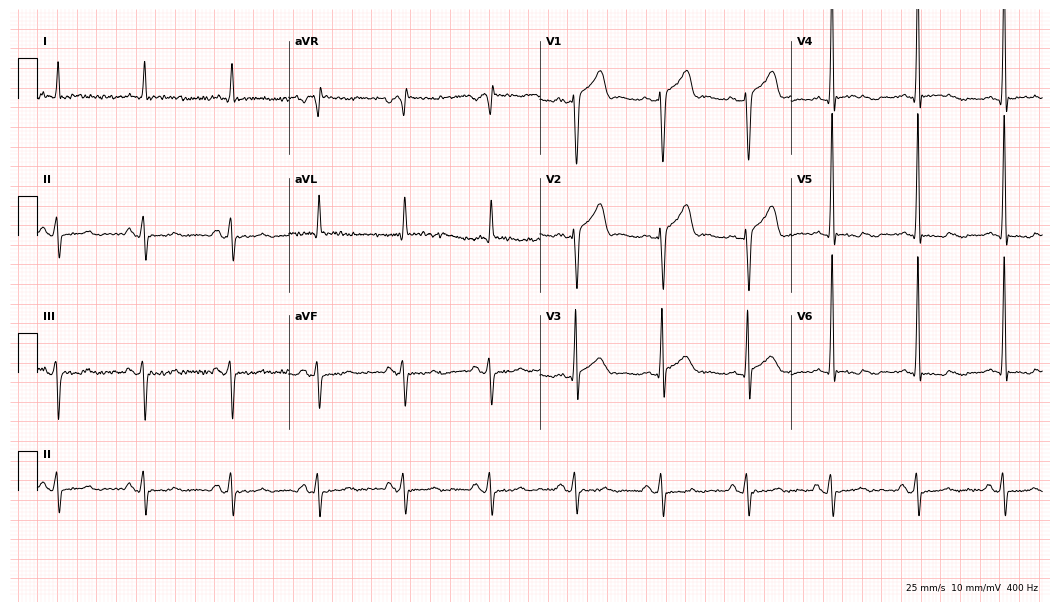
Electrocardiogram (10.2-second recording at 400 Hz), a man, 66 years old. Of the six screened findings (first-degree AV block, right bundle branch block, left bundle branch block, sinus bradycardia, atrial fibrillation, sinus tachycardia), none is recorded. Other findings, if any, are not listed.